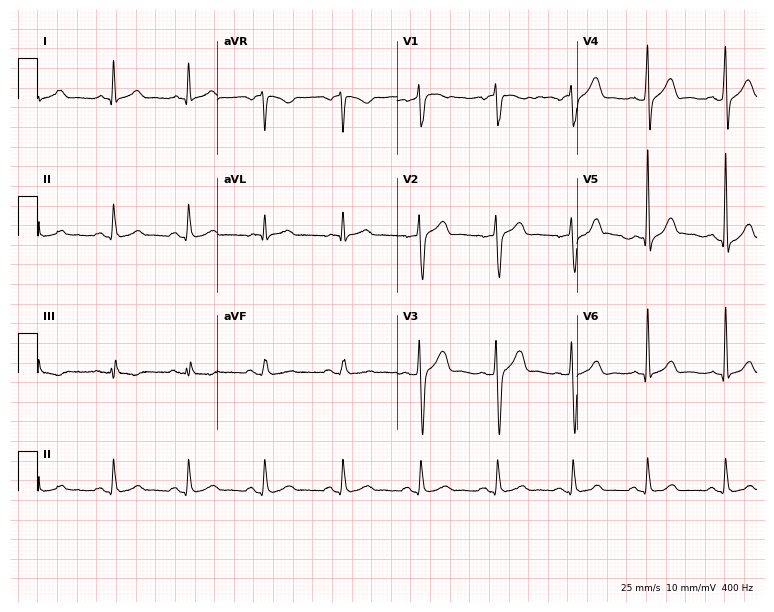
12-lead ECG from a male patient, 37 years old. Labelled as a normal ECG.